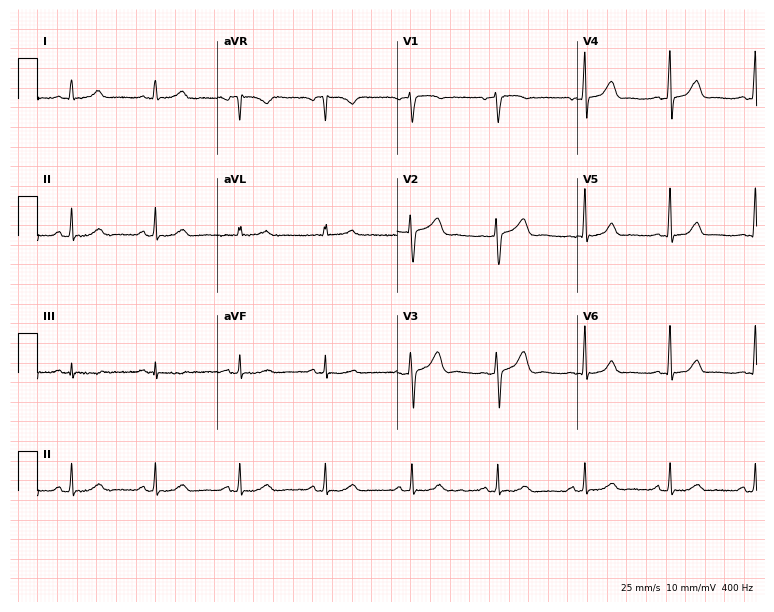
12-lead ECG from a 53-year-old female patient. Recorded interpretation: within normal limits.